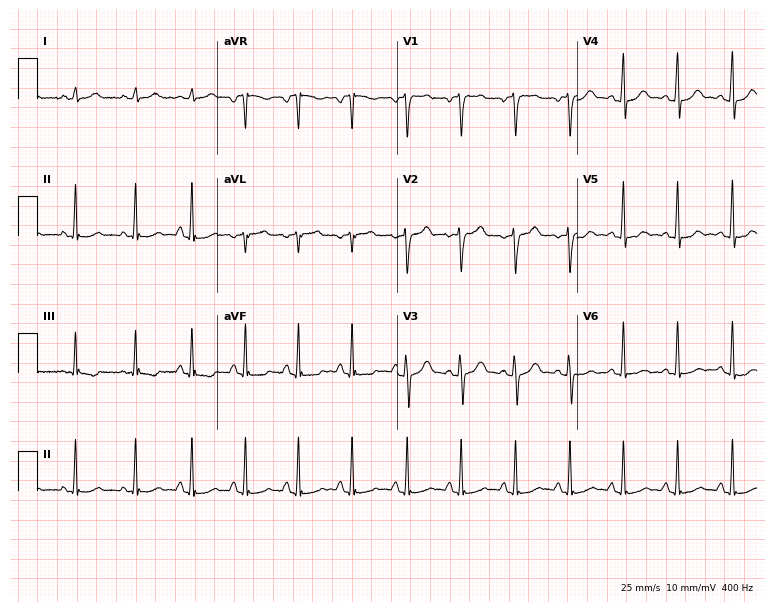
Standard 12-lead ECG recorded from a 28-year-old female patient. The tracing shows sinus tachycardia (a sinus rate of 100 beats per minute or more).